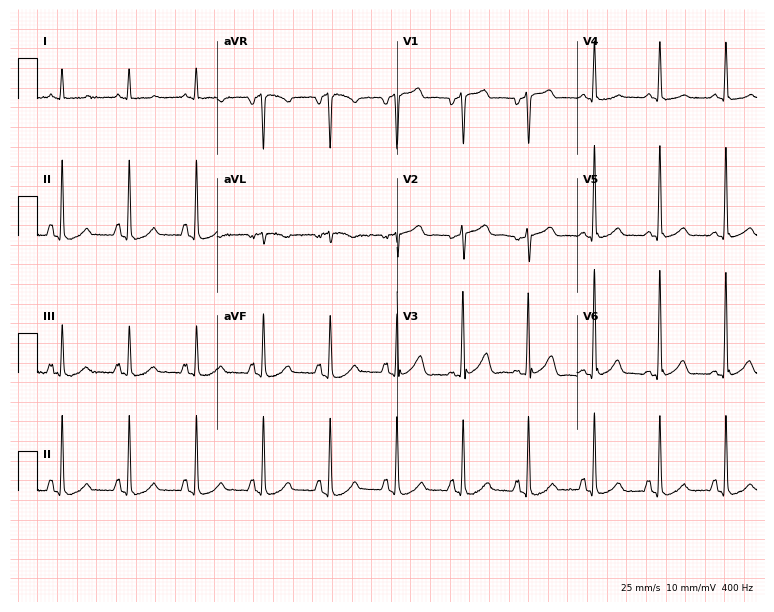
ECG (7.3-second recording at 400 Hz) — an 83-year-old male. Labelled as a normal ECG.